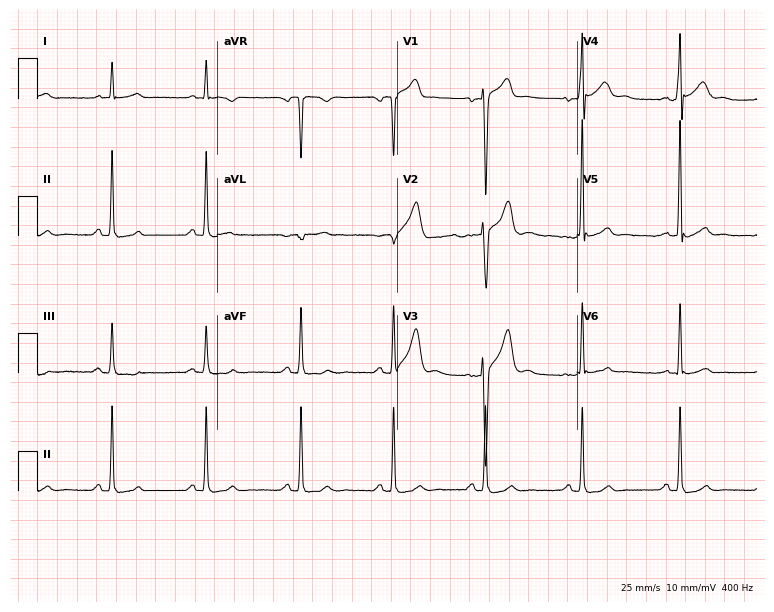
ECG (7.3-second recording at 400 Hz) — a male, 40 years old. Labelled as a normal ECG.